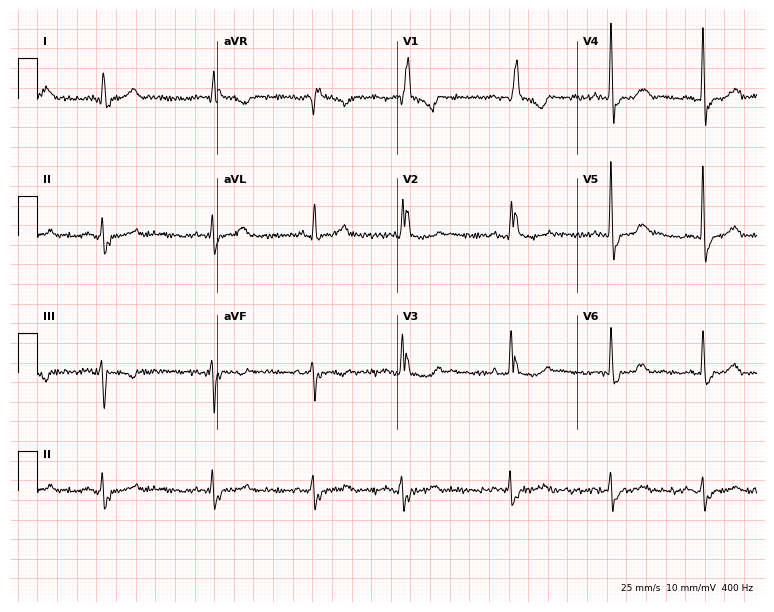
12-lead ECG (7.3-second recording at 400 Hz) from a male, 77 years old. Findings include right bundle branch block.